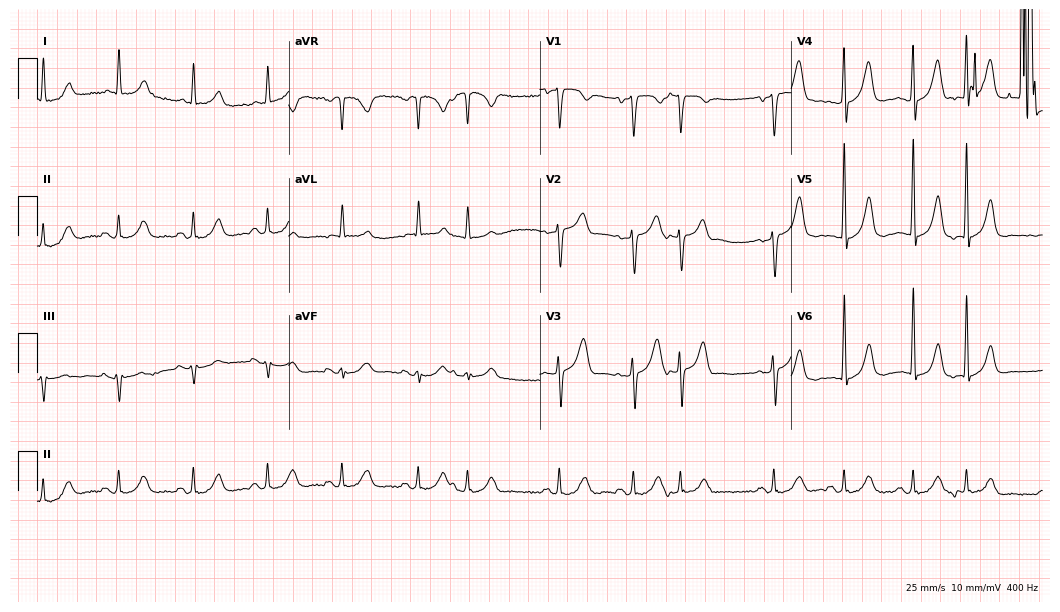
ECG — a male, 75 years old. Screened for six findings — first-degree AV block, right bundle branch block, left bundle branch block, sinus bradycardia, atrial fibrillation, sinus tachycardia — none is recorded.